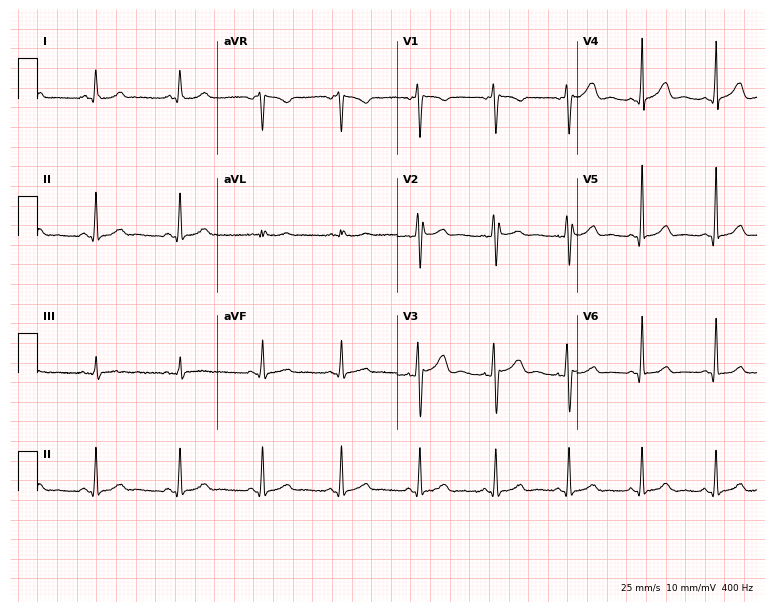
Electrocardiogram, a 38-year-old female. Overall reading on record: normal ECG.